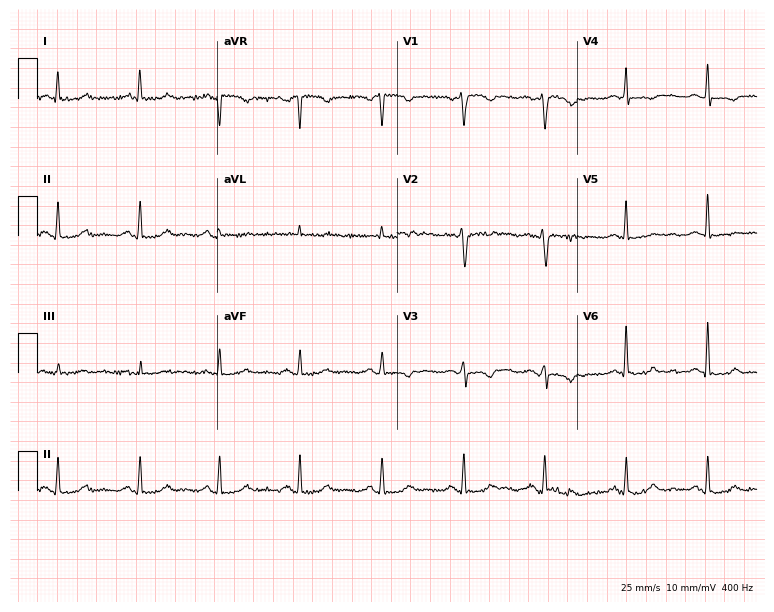
ECG — a woman, 52 years old. Screened for six findings — first-degree AV block, right bundle branch block (RBBB), left bundle branch block (LBBB), sinus bradycardia, atrial fibrillation (AF), sinus tachycardia — none is recorded.